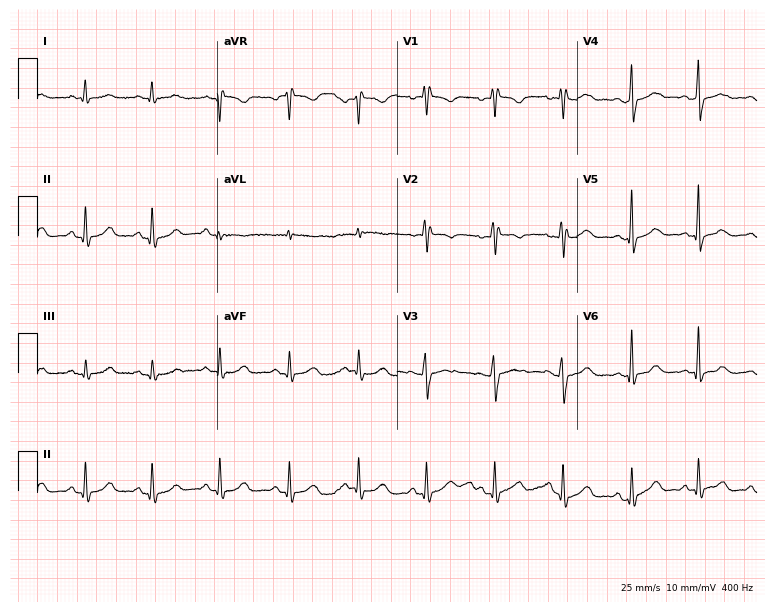
12-lead ECG from a 40-year-old female (7.3-second recording at 400 Hz). No first-degree AV block, right bundle branch block, left bundle branch block, sinus bradycardia, atrial fibrillation or sinus tachycardia recorded for this tracing.